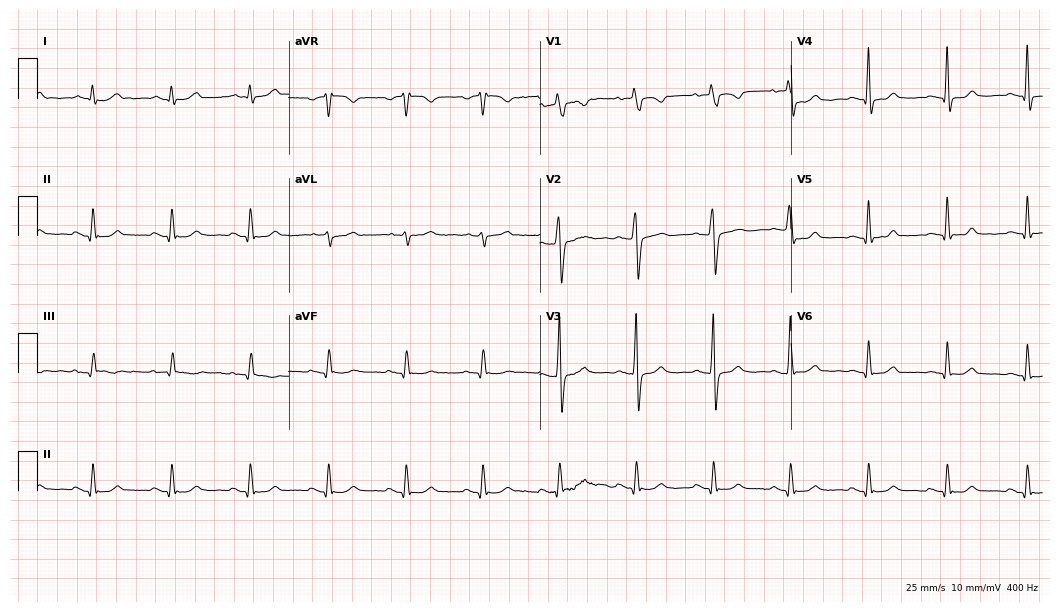
Electrocardiogram, a female, 69 years old. Of the six screened findings (first-degree AV block, right bundle branch block (RBBB), left bundle branch block (LBBB), sinus bradycardia, atrial fibrillation (AF), sinus tachycardia), none is recorded.